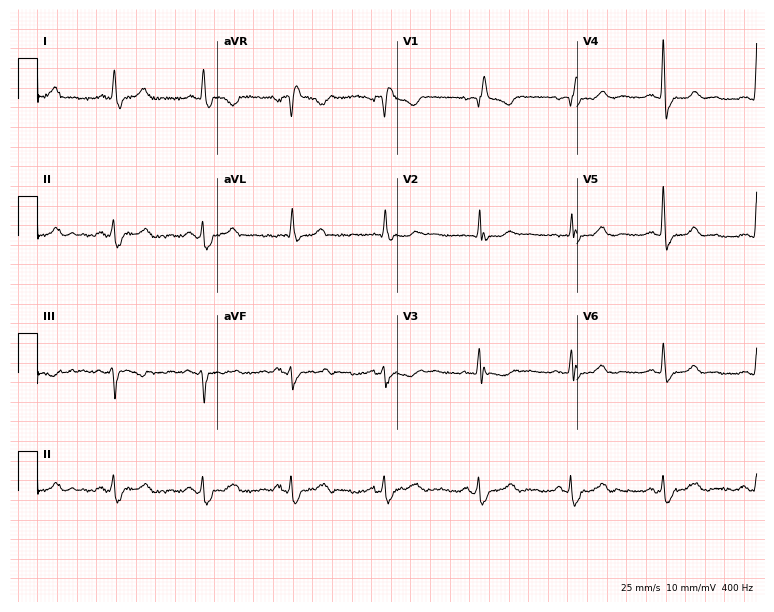
ECG — a 78-year-old woman. Findings include right bundle branch block (RBBB).